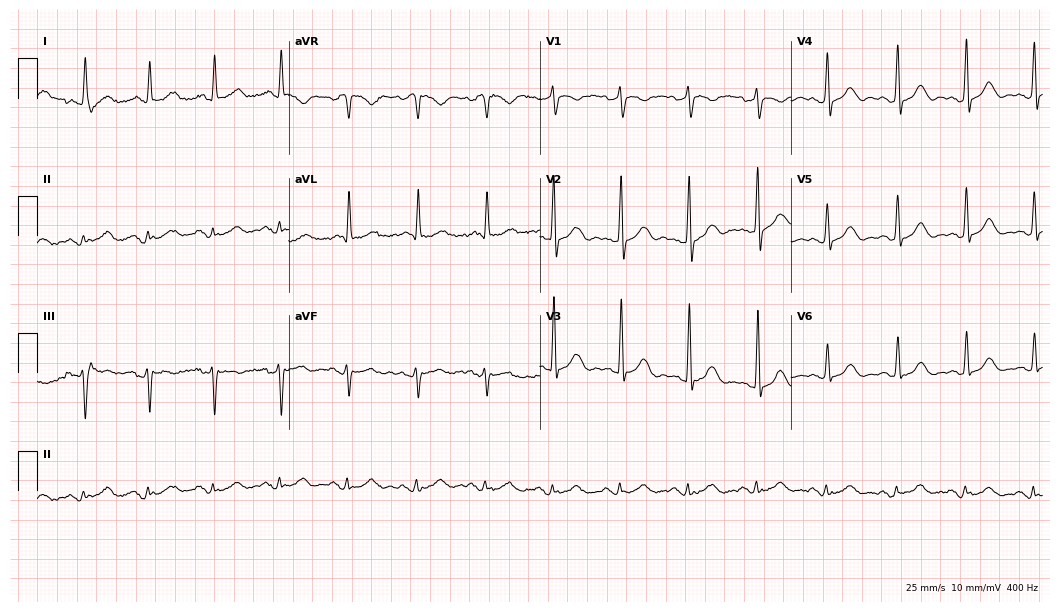
ECG (10.2-second recording at 400 Hz) — a female patient, 84 years old. Screened for six findings — first-degree AV block, right bundle branch block (RBBB), left bundle branch block (LBBB), sinus bradycardia, atrial fibrillation (AF), sinus tachycardia — none is recorded.